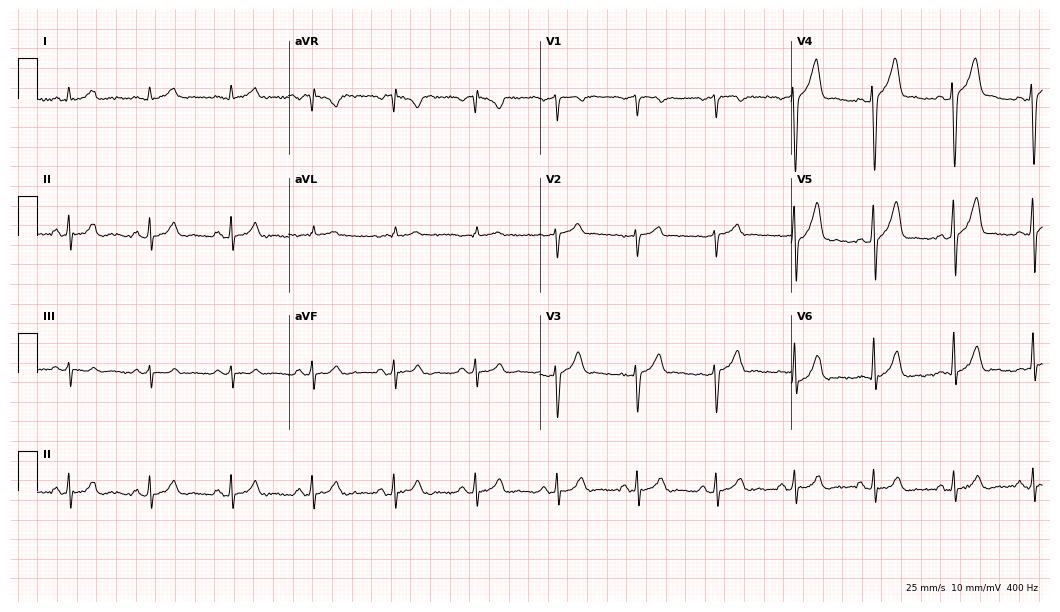
12-lead ECG (10.2-second recording at 400 Hz) from a 43-year-old male. Labelled as a normal ECG.